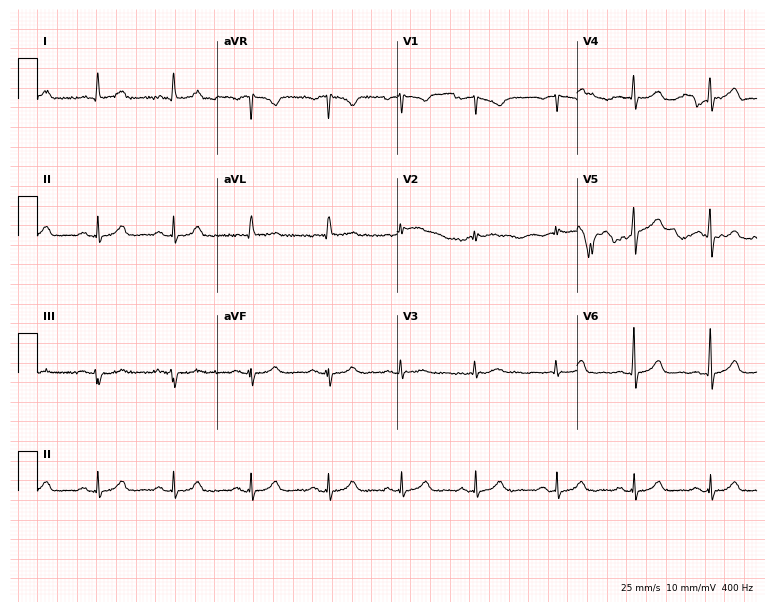
12-lead ECG (7.3-second recording at 400 Hz) from a 70-year-old female patient. Labelled as a normal ECG.